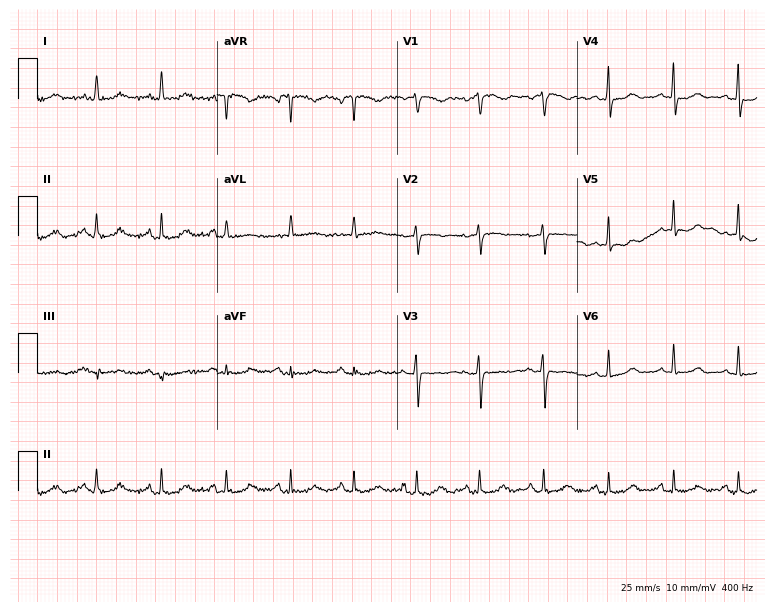
Standard 12-lead ECG recorded from a female patient, 61 years old (7.3-second recording at 400 Hz). None of these six findings is recorded: first-degree AV block, right bundle branch block, left bundle branch block, sinus bradycardia, atrial fibrillation, sinus tachycardia.